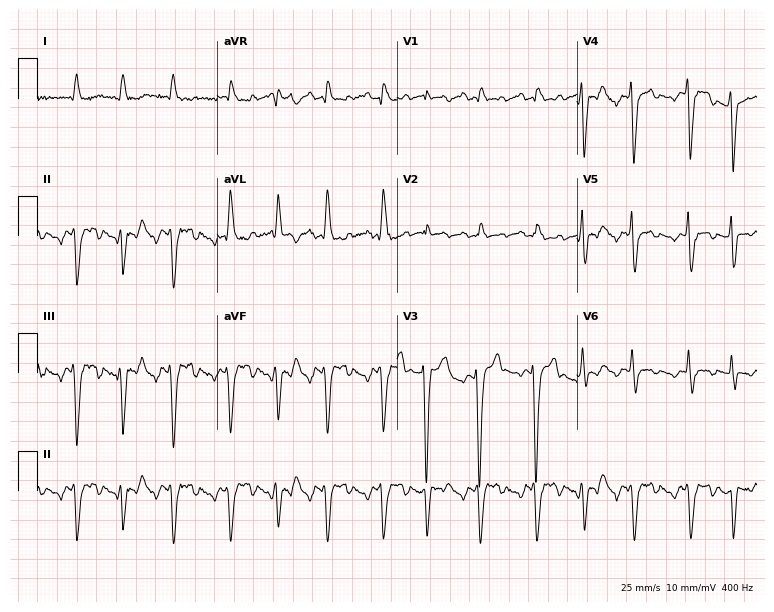
12-lead ECG (7.3-second recording at 400 Hz) from a male, 77 years old. Screened for six findings — first-degree AV block, right bundle branch block, left bundle branch block, sinus bradycardia, atrial fibrillation, sinus tachycardia — none is recorded. Other findings, if any, are not listed.